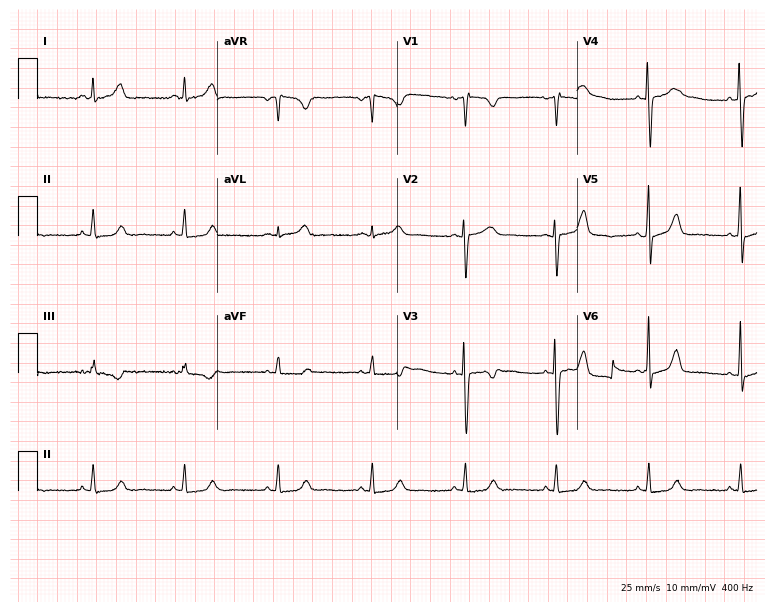
12-lead ECG from a 27-year-old female. Labelled as a normal ECG.